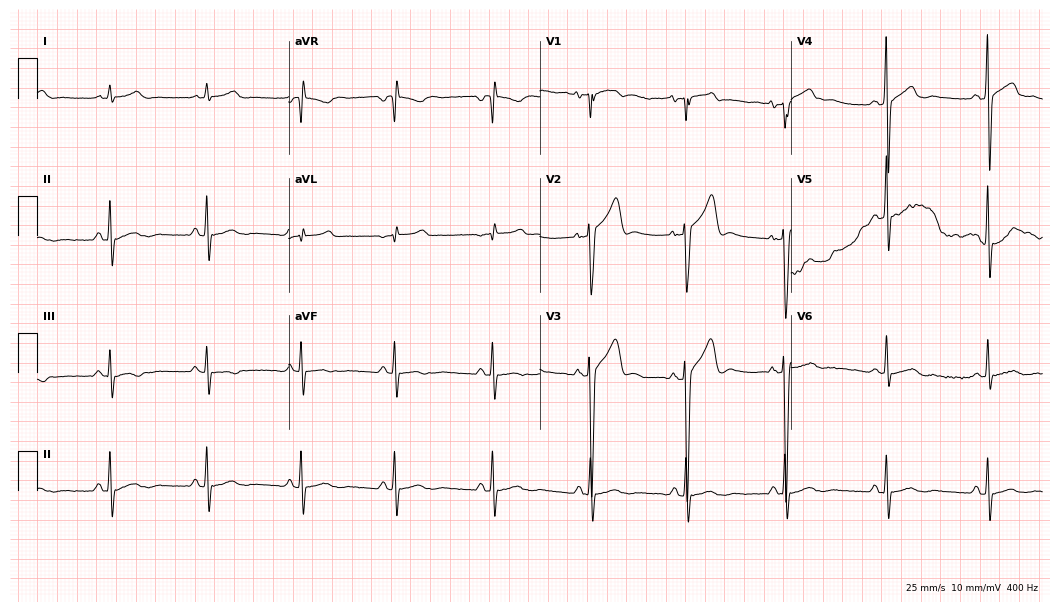
ECG — a male, 18 years old. Labelled as a normal ECG.